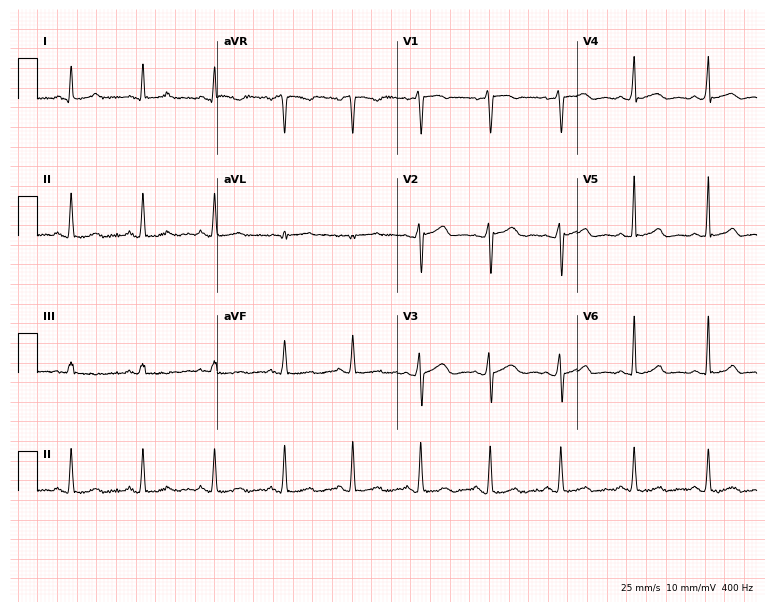
12-lead ECG from a 30-year-old female patient. Recorded interpretation: within normal limits.